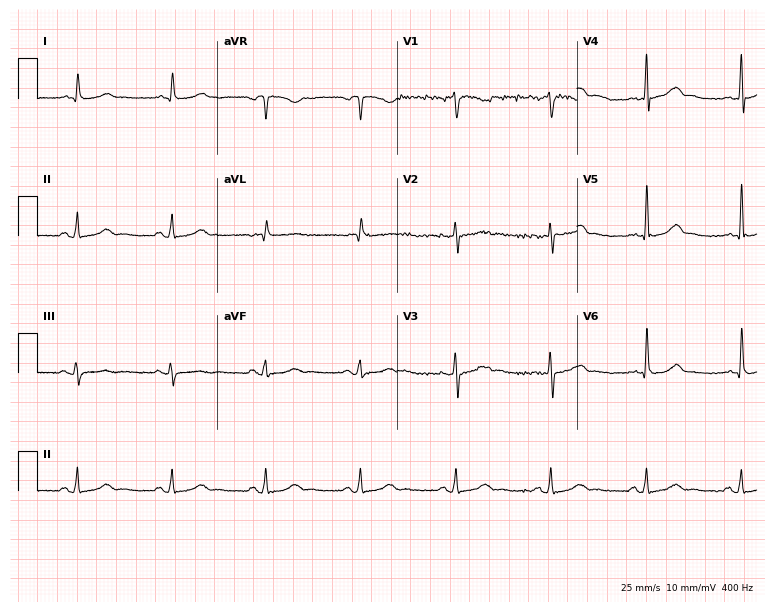
Standard 12-lead ECG recorded from a 49-year-old man. Read as a normal ECG.